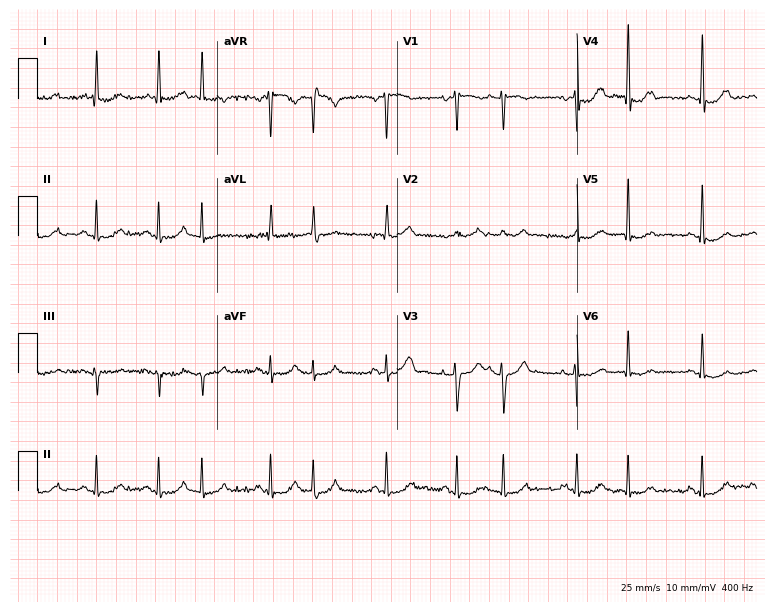
12-lead ECG (7.3-second recording at 400 Hz) from an 85-year-old female. Screened for six findings — first-degree AV block, right bundle branch block, left bundle branch block, sinus bradycardia, atrial fibrillation, sinus tachycardia — none is recorded.